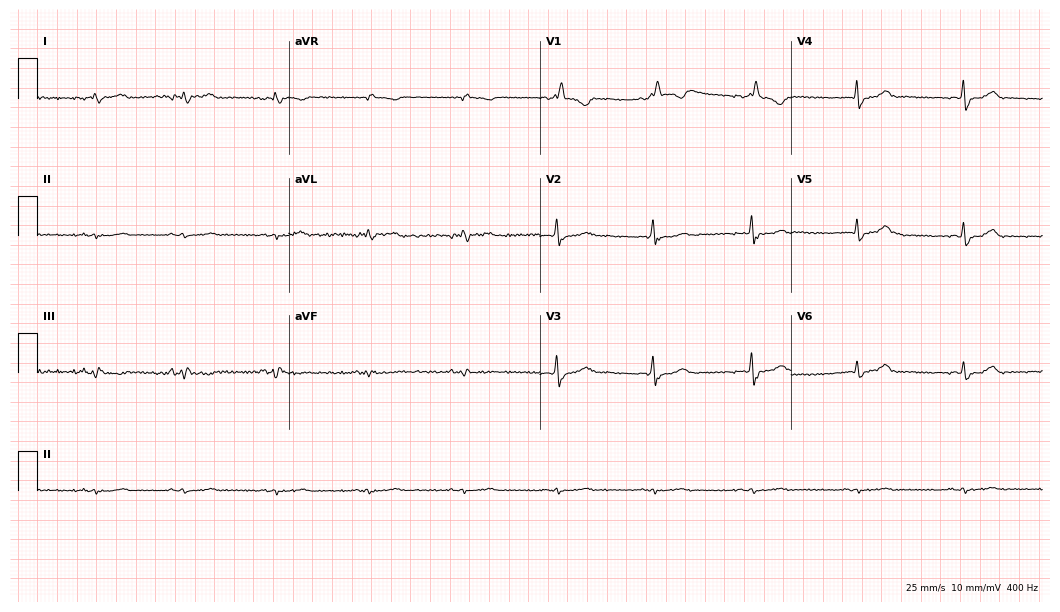
Resting 12-lead electrocardiogram (10.2-second recording at 400 Hz). Patient: a 76-year-old female. None of these six findings is recorded: first-degree AV block, right bundle branch block, left bundle branch block, sinus bradycardia, atrial fibrillation, sinus tachycardia. Other findings, if any, are not listed.